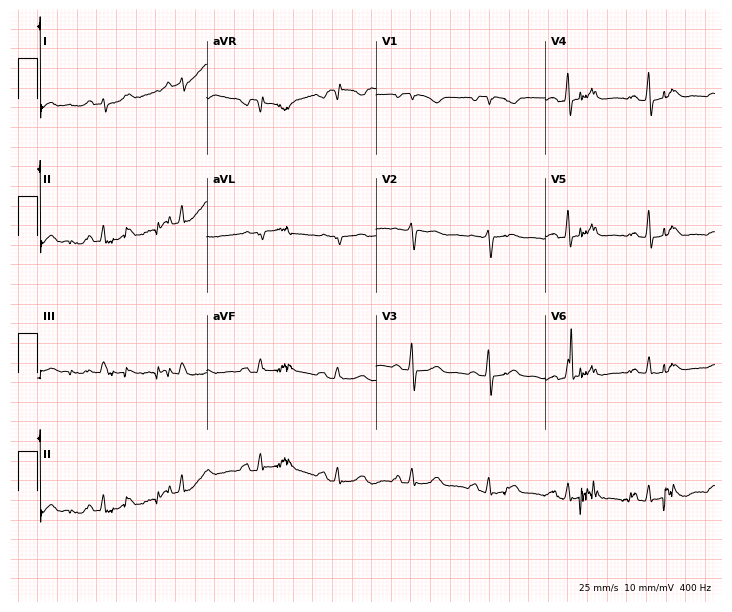
Resting 12-lead electrocardiogram. Patient: a woman, 38 years old. None of these six findings is recorded: first-degree AV block, right bundle branch block, left bundle branch block, sinus bradycardia, atrial fibrillation, sinus tachycardia. Other findings, if any, are not listed.